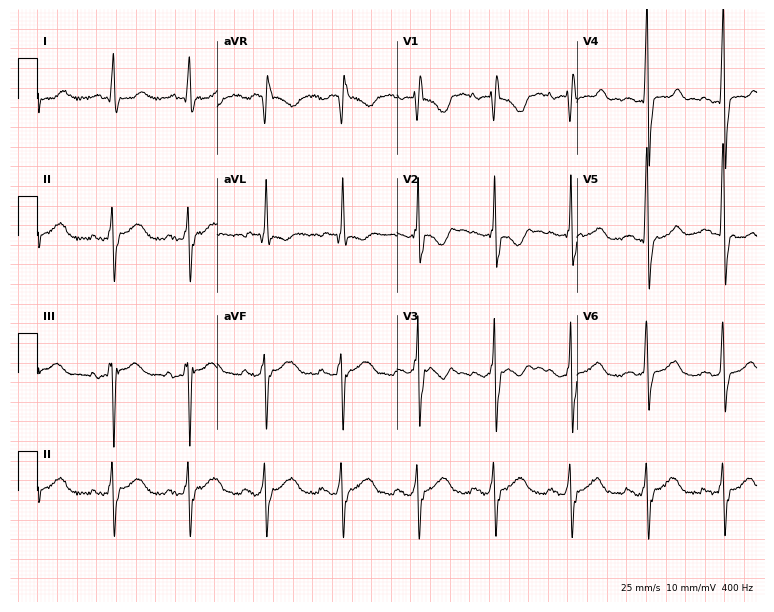
Electrocardiogram, a female patient, 68 years old. Interpretation includes right bundle branch block.